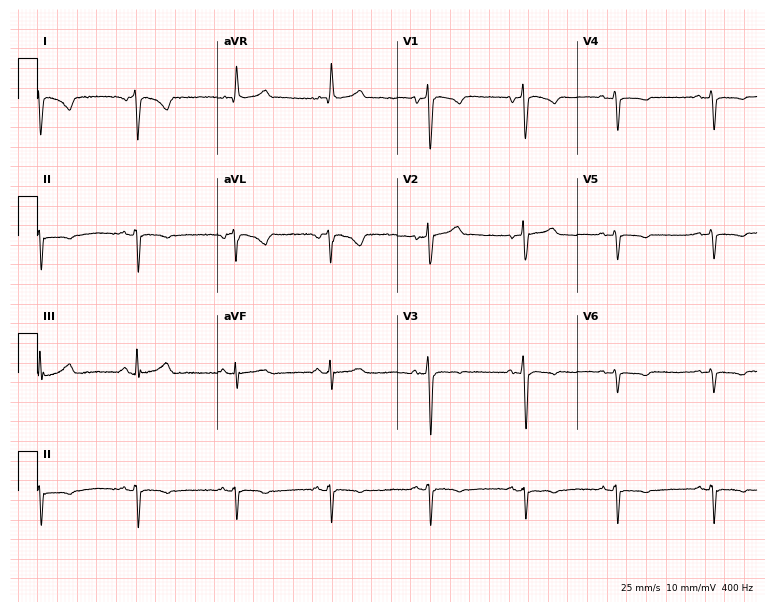
12-lead ECG from a 38-year-old man. Screened for six findings — first-degree AV block, right bundle branch block, left bundle branch block, sinus bradycardia, atrial fibrillation, sinus tachycardia — none is recorded.